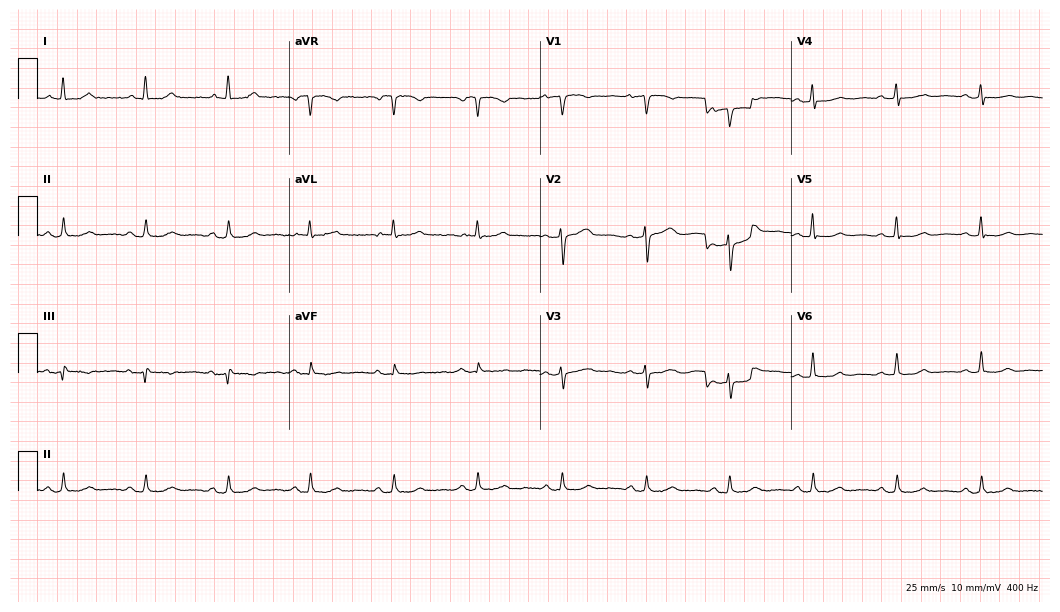
Standard 12-lead ECG recorded from a 60-year-old female patient (10.2-second recording at 400 Hz). None of these six findings is recorded: first-degree AV block, right bundle branch block, left bundle branch block, sinus bradycardia, atrial fibrillation, sinus tachycardia. Only these six findings were labelled.